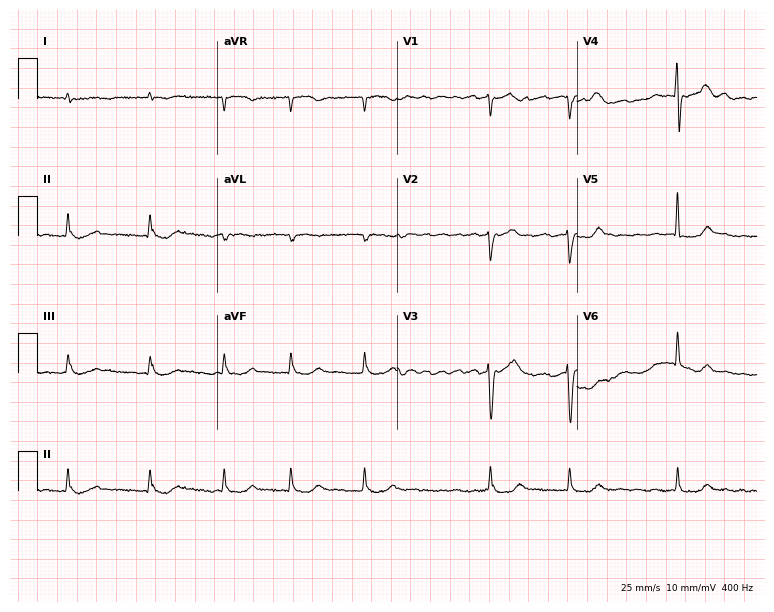
12-lead ECG (7.3-second recording at 400 Hz) from an 85-year-old male. Findings include atrial fibrillation.